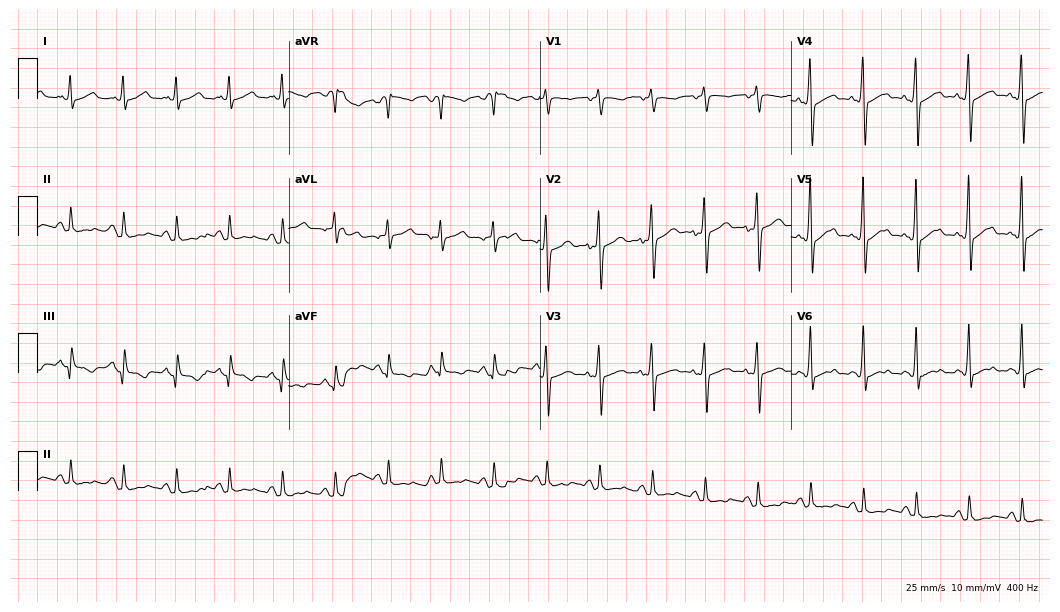
ECG (10.2-second recording at 400 Hz) — a man, 42 years old. Findings include sinus tachycardia (a sinus rate of 100 beats per minute or more).